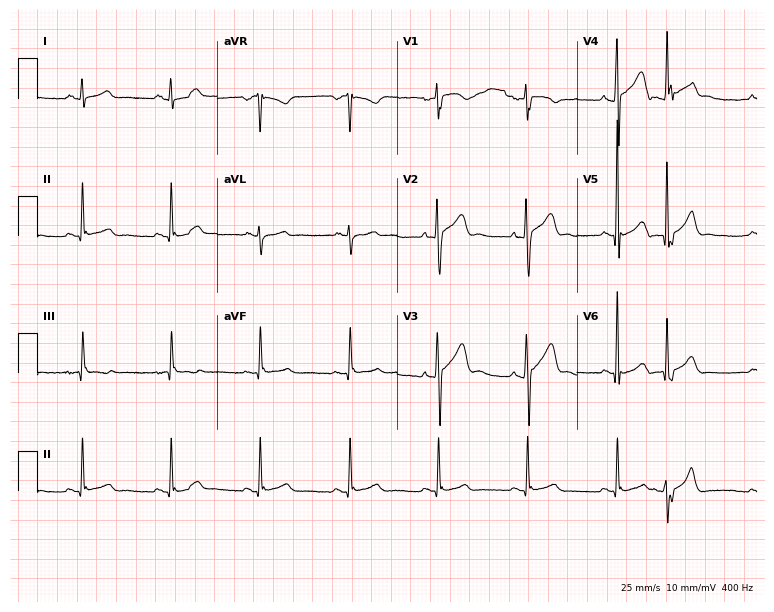
Resting 12-lead electrocardiogram. Patient: a male, 24 years old. None of these six findings is recorded: first-degree AV block, right bundle branch block (RBBB), left bundle branch block (LBBB), sinus bradycardia, atrial fibrillation (AF), sinus tachycardia.